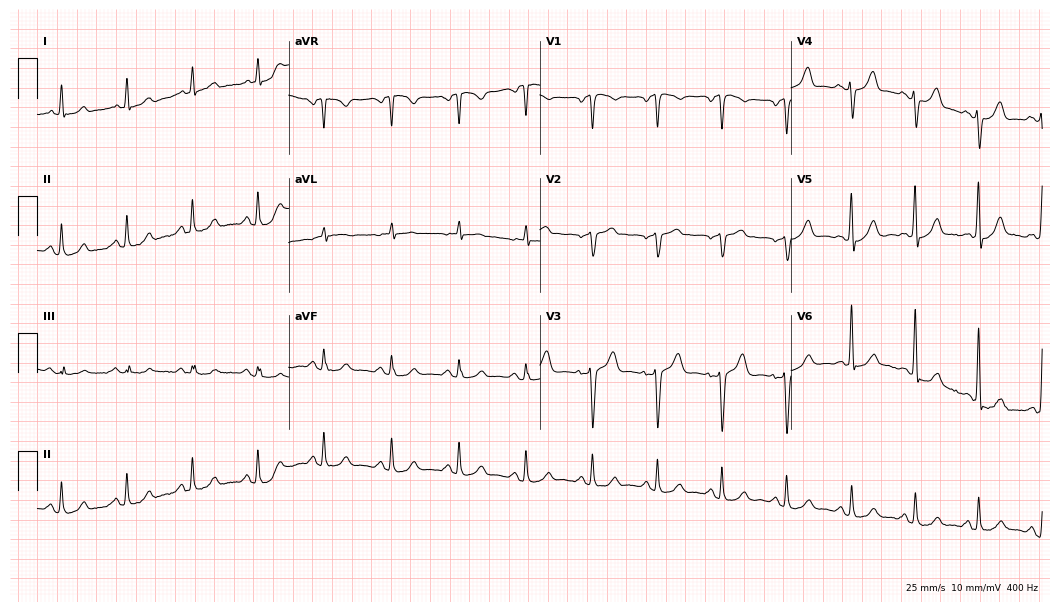
ECG — a male, 56 years old. Labelled as a normal ECG.